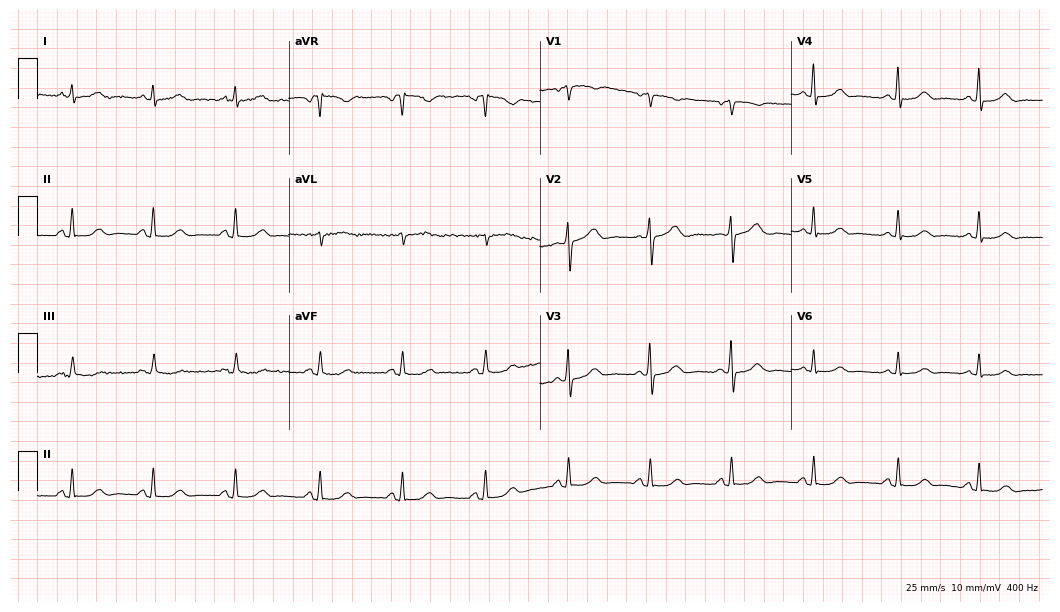
Electrocardiogram (10.2-second recording at 400 Hz), a female patient, 52 years old. Overall reading on record: normal ECG.